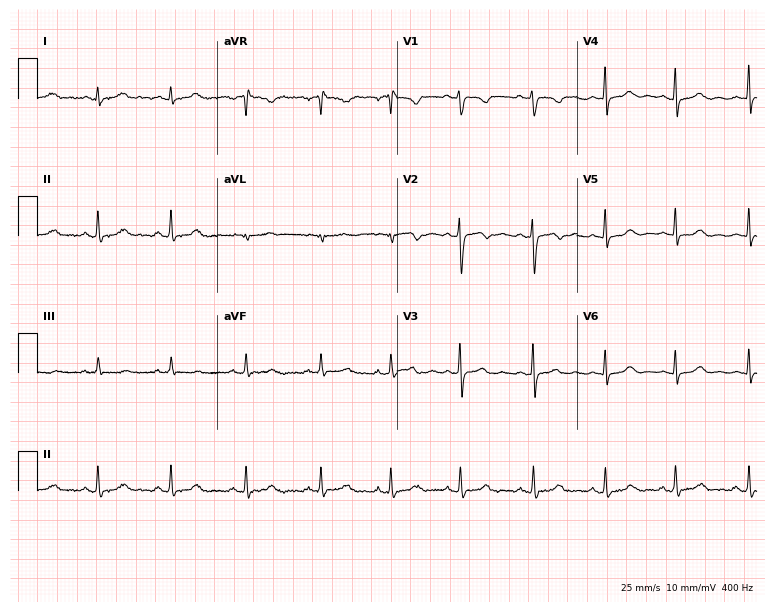
Standard 12-lead ECG recorded from a female patient, 27 years old (7.3-second recording at 400 Hz). Read as a normal ECG.